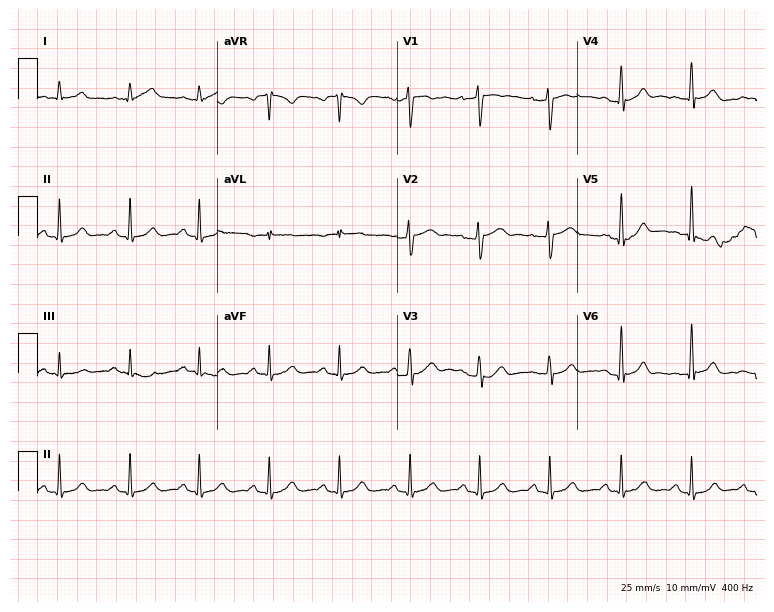
Electrocardiogram, a male patient, 49 years old. Overall reading on record: normal ECG.